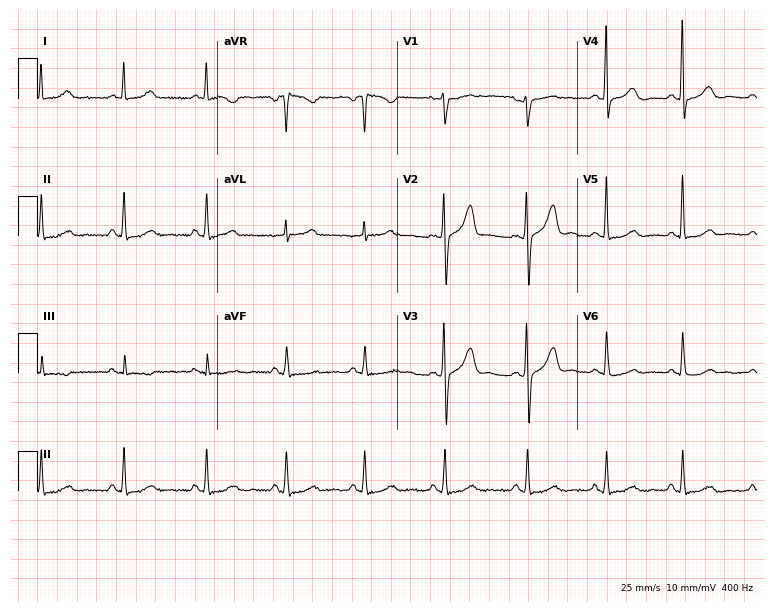
Resting 12-lead electrocardiogram (7.3-second recording at 400 Hz). Patient: a female, 42 years old. Read as a normal ECG.